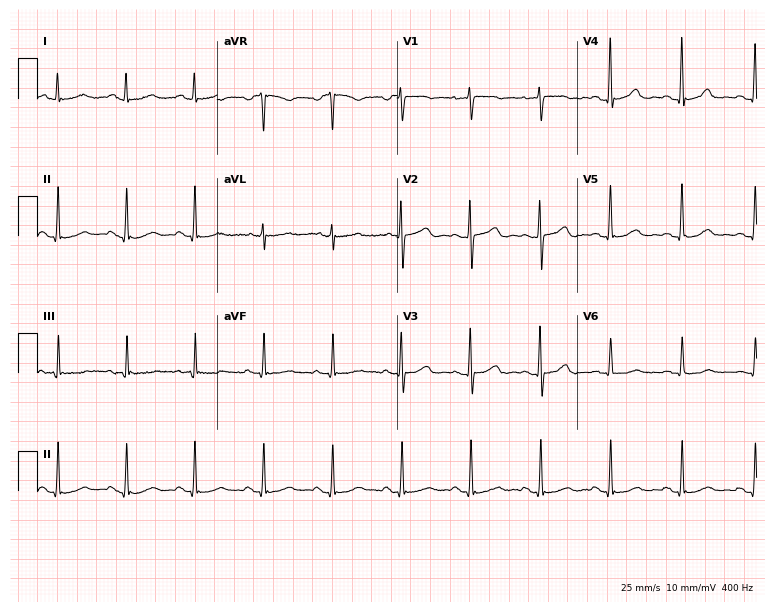
12-lead ECG from a 67-year-old female (7.3-second recording at 400 Hz). Recorded interpretation: within normal limits.